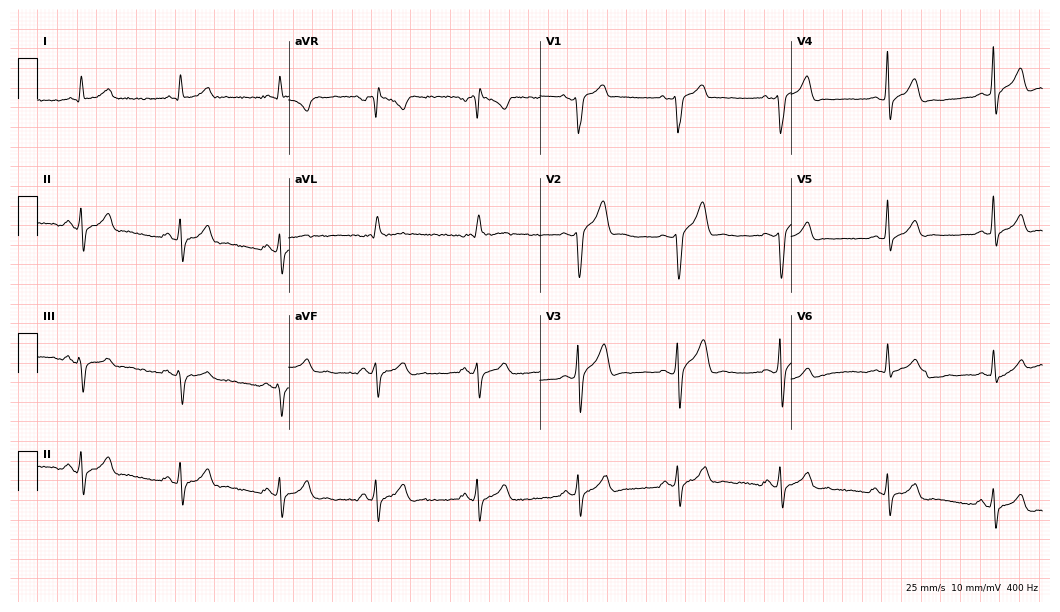
Standard 12-lead ECG recorded from a male, 49 years old (10.2-second recording at 400 Hz). None of these six findings is recorded: first-degree AV block, right bundle branch block (RBBB), left bundle branch block (LBBB), sinus bradycardia, atrial fibrillation (AF), sinus tachycardia.